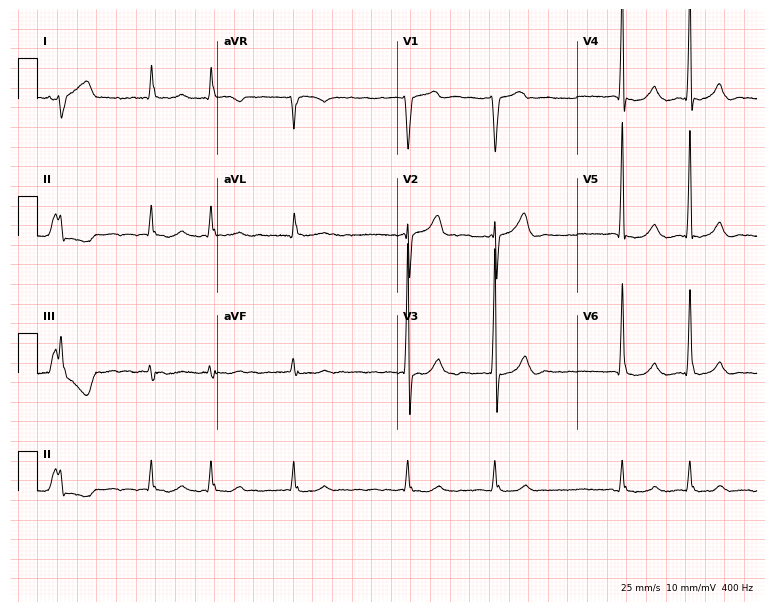
Resting 12-lead electrocardiogram. Patient: a 79-year-old man. The tracing shows atrial fibrillation.